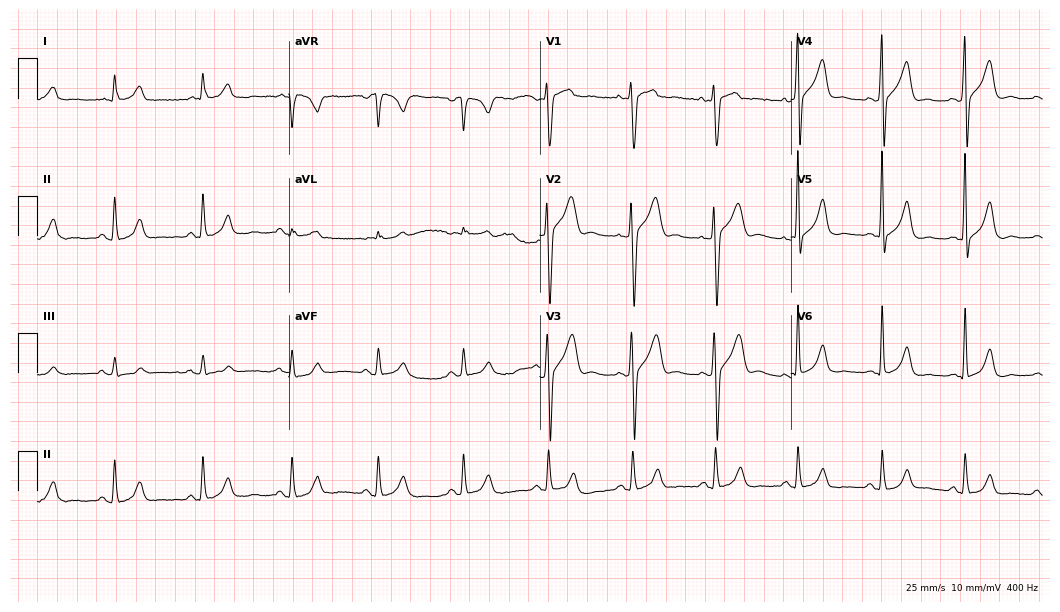
Resting 12-lead electrocardiogram. Patient: a male, 54 years old. Read as a normal ECG.